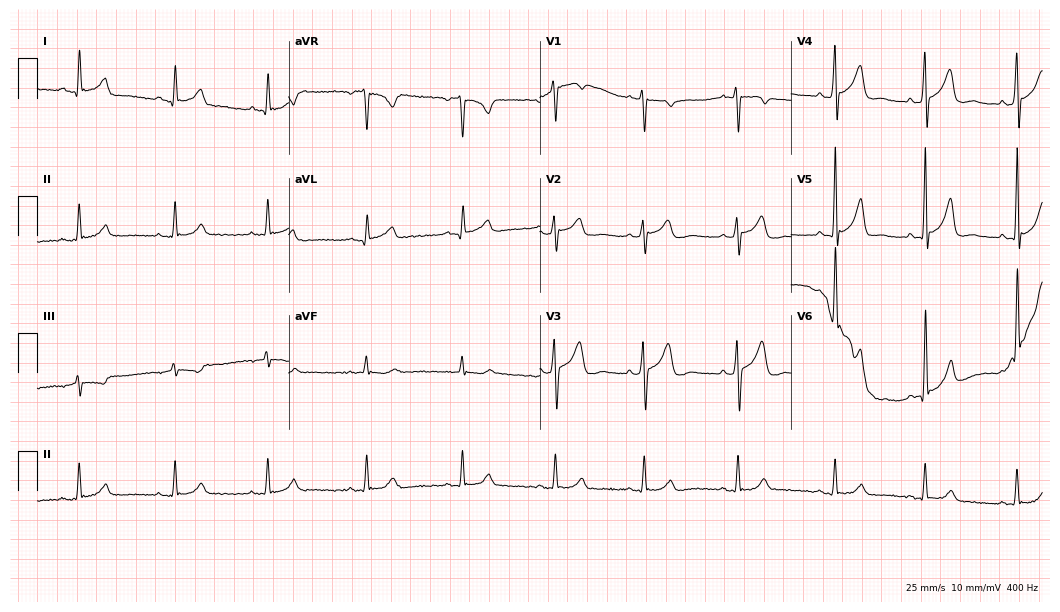
Electrocardiogram (10.2-second recording at 400 Hz), a man, 41 years old. Overall reading on record: normal ECG.